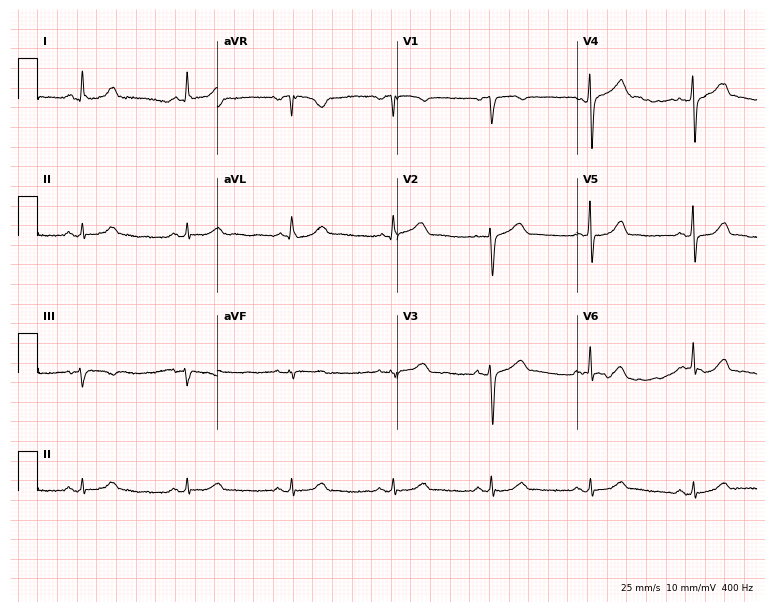
12-lead ECG from a male patient, 67 years old. Recorded interpretation: within normal limits.